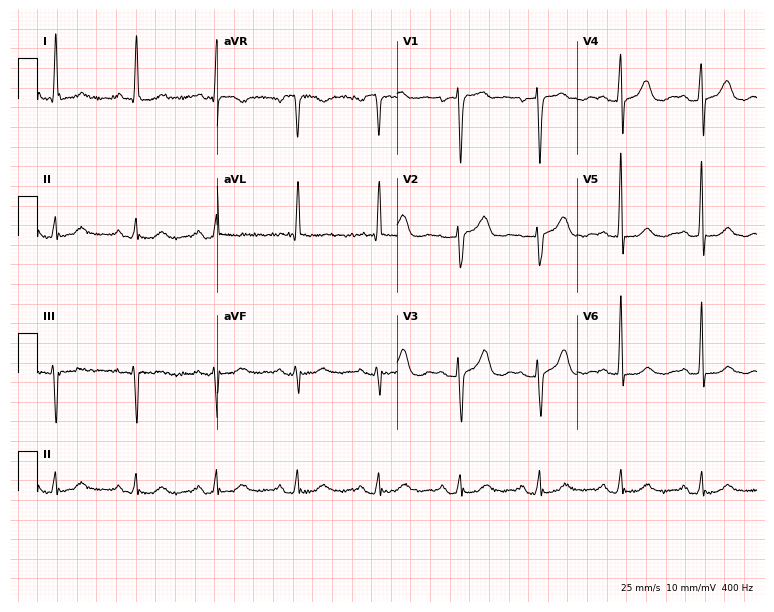
Electrocardiogram (7.3-second recording at 400 Hz), a female patient, 75 years old. Overall reading on record: normal ECG.